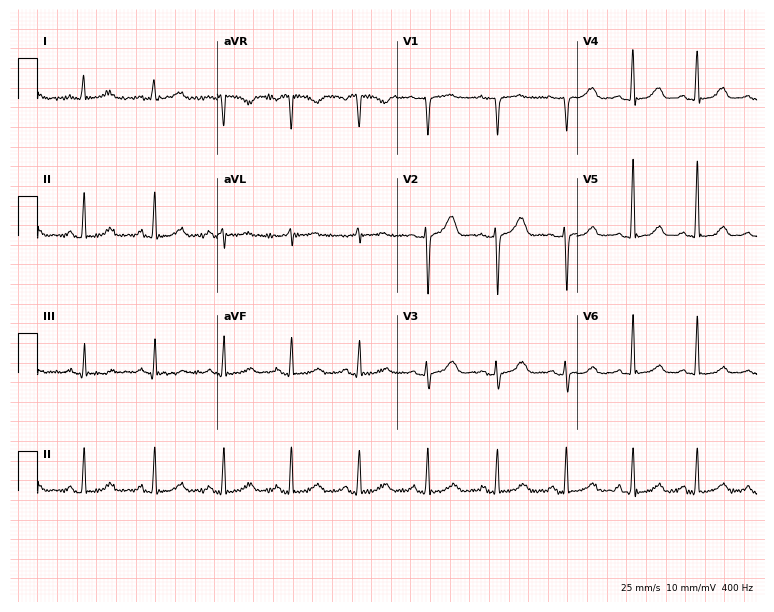
ECG — a female, 38 years old. Labelled as a normal ECG.